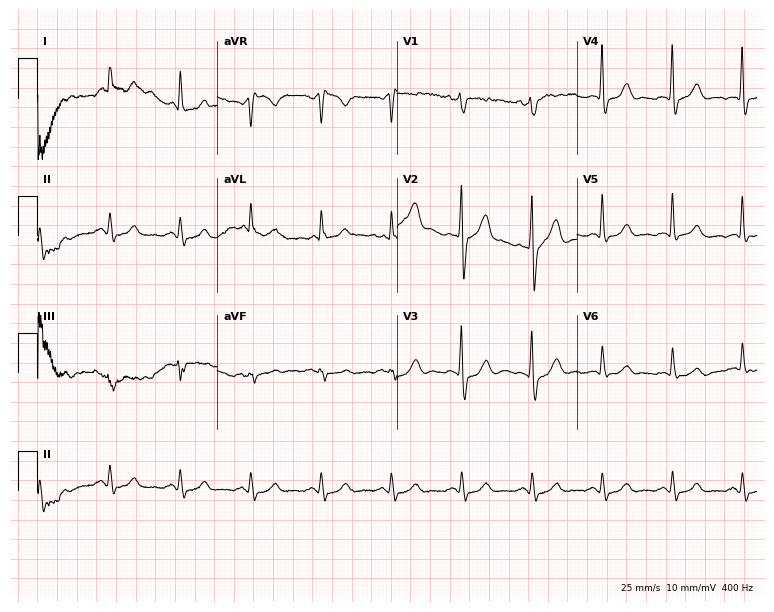
12-lead ECG from a male, 59 years old (7.3-second recording at 400 Hz). Recorded interpretation: within normal limits.